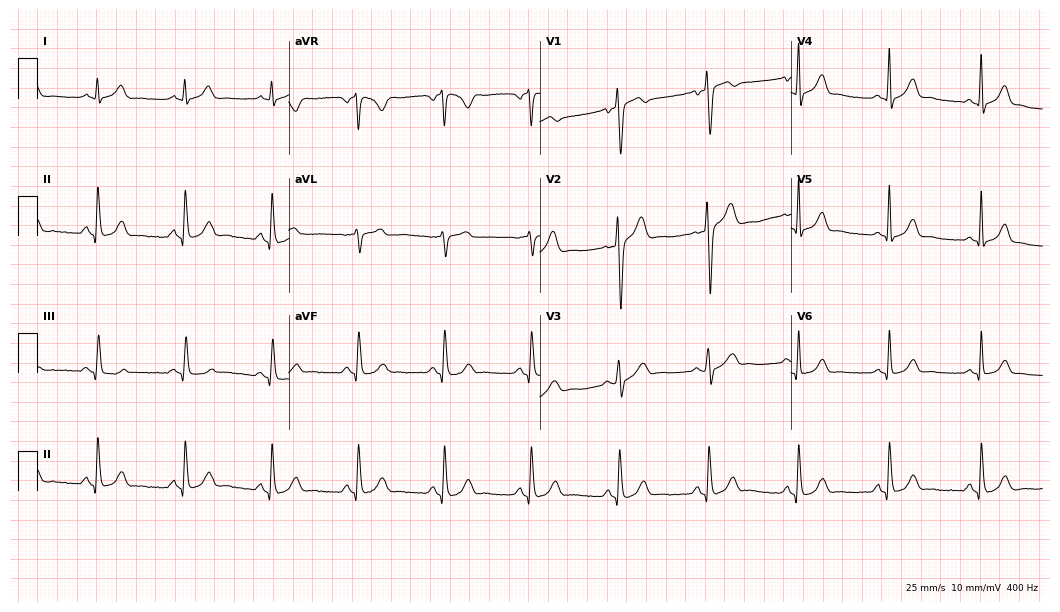
Standard 12-lead ECG recorded from a male patient, 40 years old (10.2-second recording at 400 Hz). Read as a normal ECG.